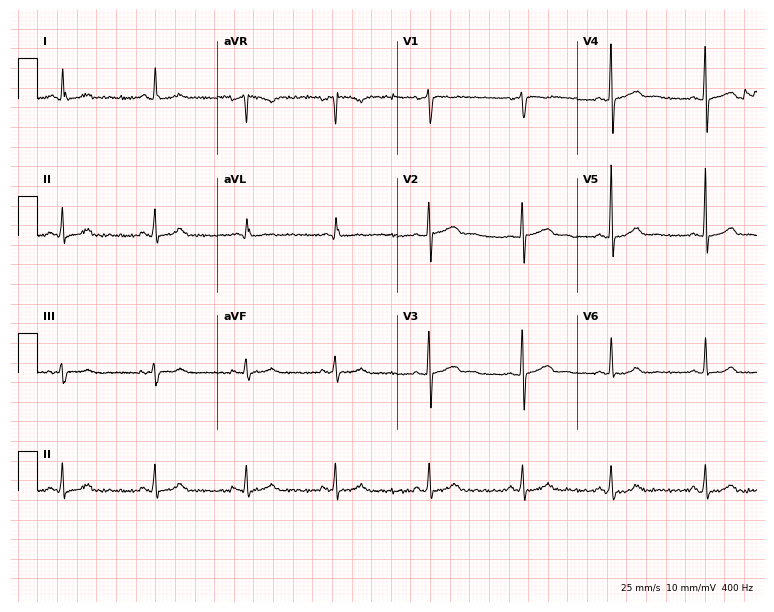
Electrocardiogram (7.3-second recording at 400 Hz), a 29-year-old woman. Overall reading on record: normal ECG.